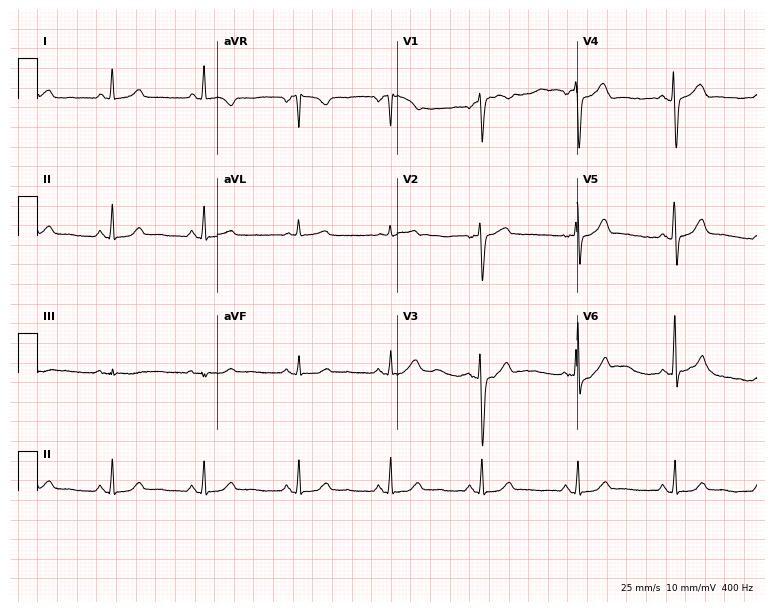
12-lead ECG (7.3-second recording at 400 Hz) from a 47-year-old female. Labelled as a normal ECG.